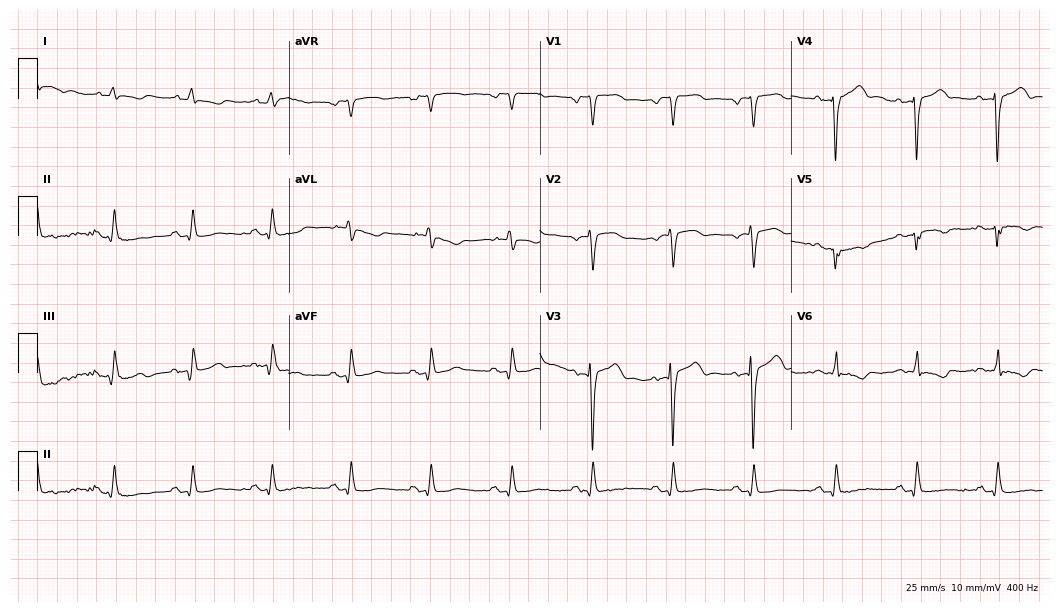
12-lead ECG from a male, 81 years old. No first-degree AV block, right bundle branch block (RBBB), left bundle branch block (LBBB), sinus bradycardia, atrial fibrillation (AF) or sinus tachycardia recorded for this tracing. Other findings, if any, are not listed.